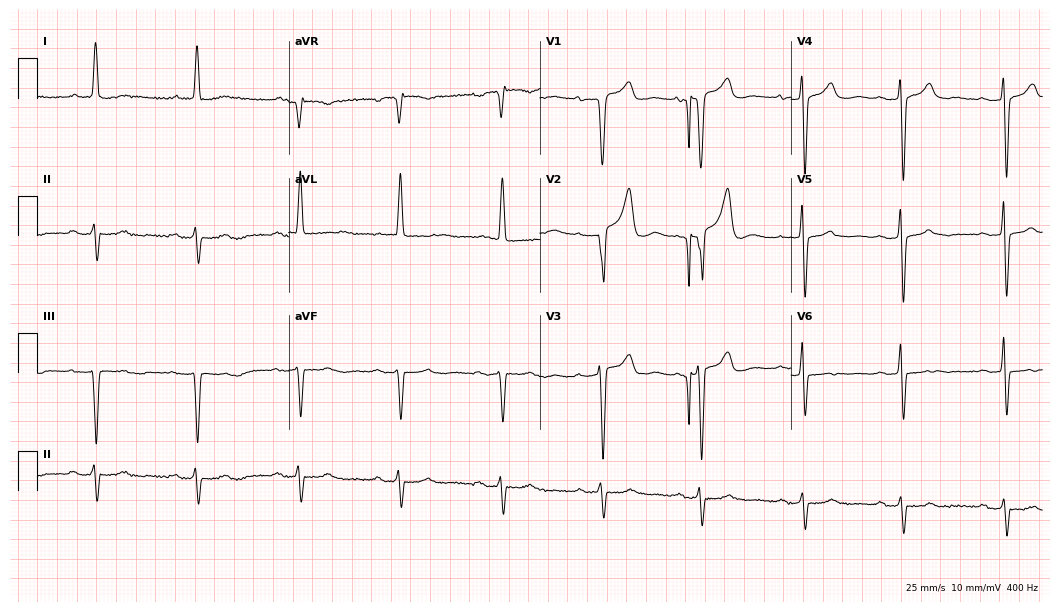
12-lead ECG from a male patient, 79 years old (10.2-second recording at 400 Hz). Shows first-degree AV block.